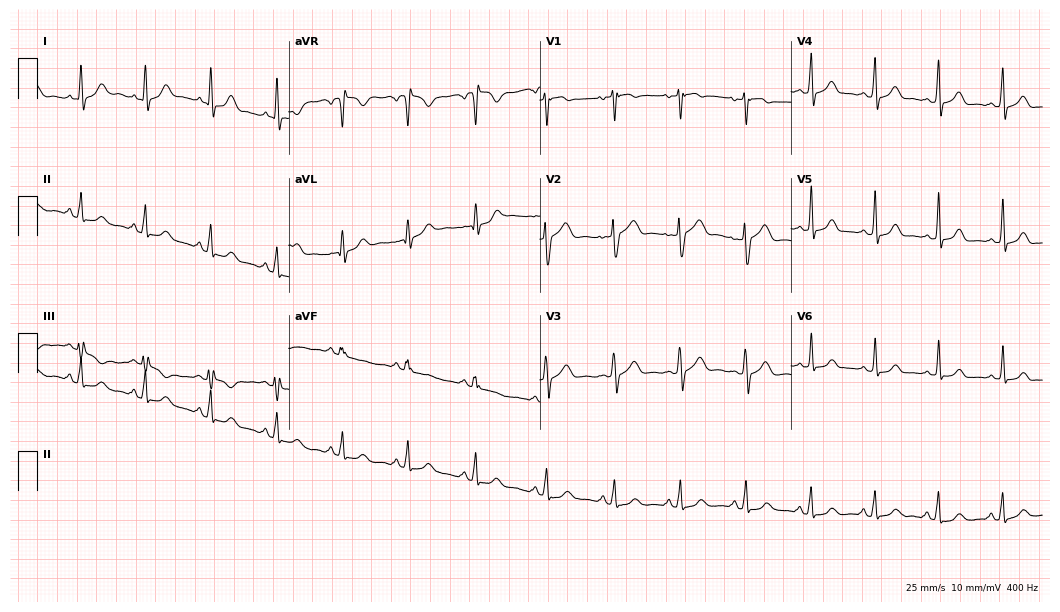
ECG (10.2-second recording at 400 Hz) — a female, 31 years old. Labelled as a normal ECG.